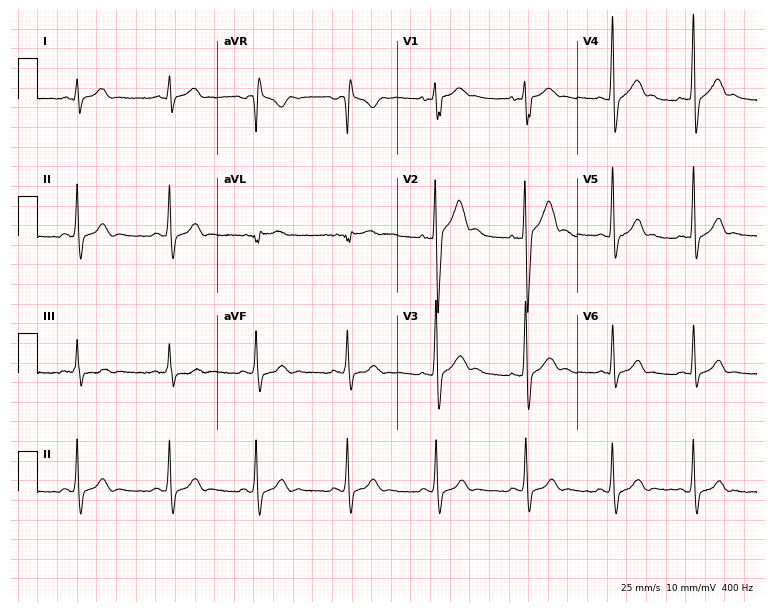
12-lead ECG from a male patient, 17 years old (7.3-second recording at 400 Hz). No first-degree AV block, right bundle branch block (RBBB), left bundle branch block (LBBB), sinus bradycardia, atrial fibrillation (AF) or sinus tachycardia recorded for this tracing. Only these six findings were labelled.